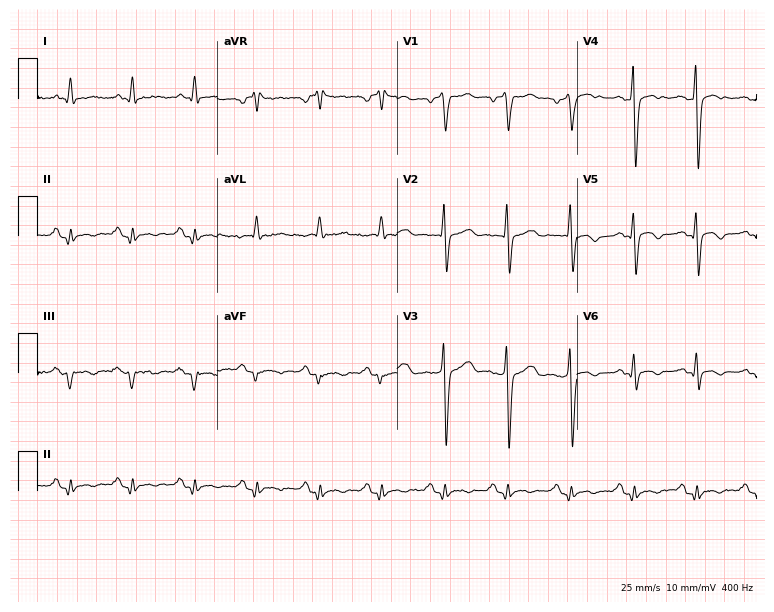
Electrocardiogram (7.3-second recording at 400 Hz), a 75-year-old man. Of the six screened findings (first-degree AV block, right bundle branch block, left bundle branch block, sinus bradycardia, atrial fibrillation, sinus tachycardia), none is recorded.